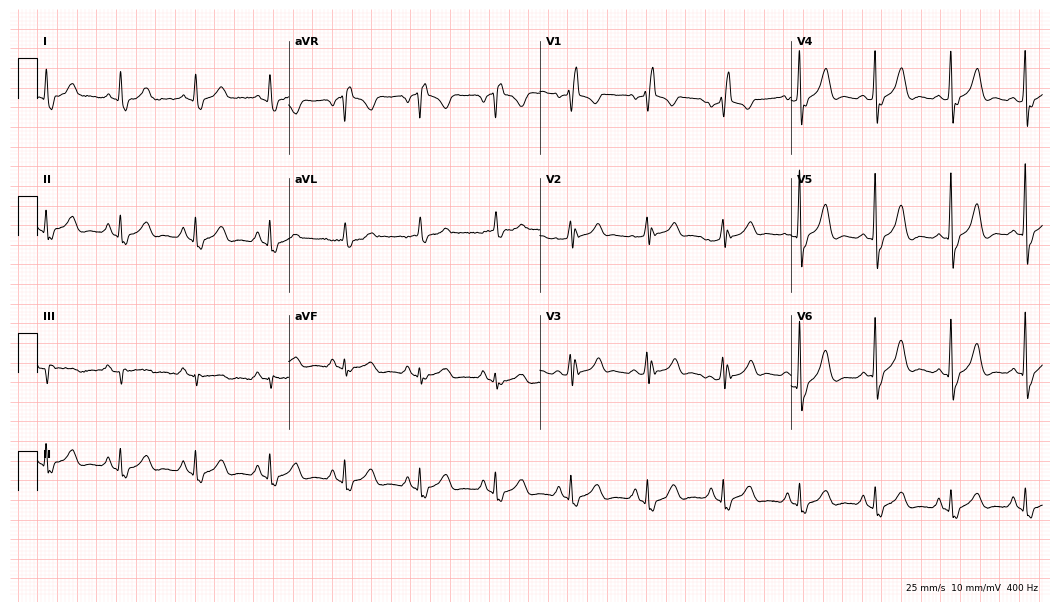
ECG (10.2-second recording at 400 Hz) — a 71-year-old female. Findings include right bundle branch block.